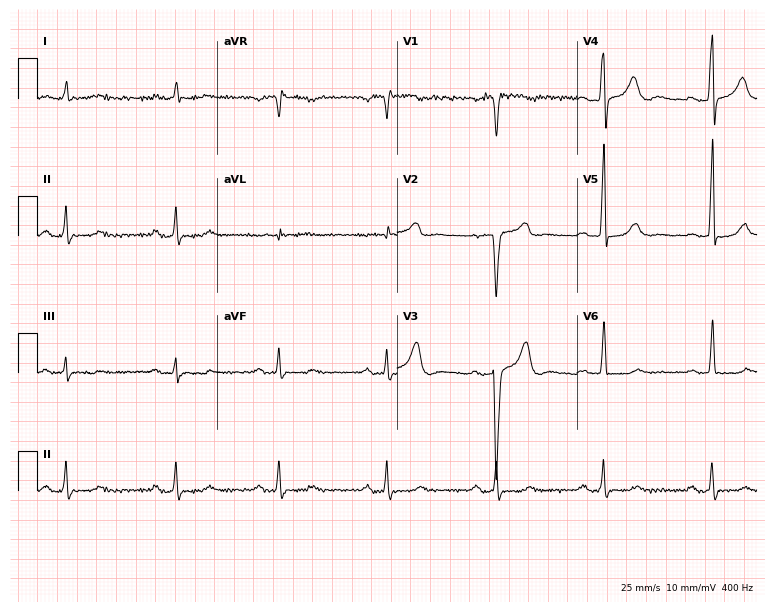
Standard 12-lead ECG recorded from a 62-year-old man. None of these six findings is recorded: first-degree AV block, right bundle branch block, left bundle branch block, sinus bradycardia, atrial fibrillation, sinus tachycardia.